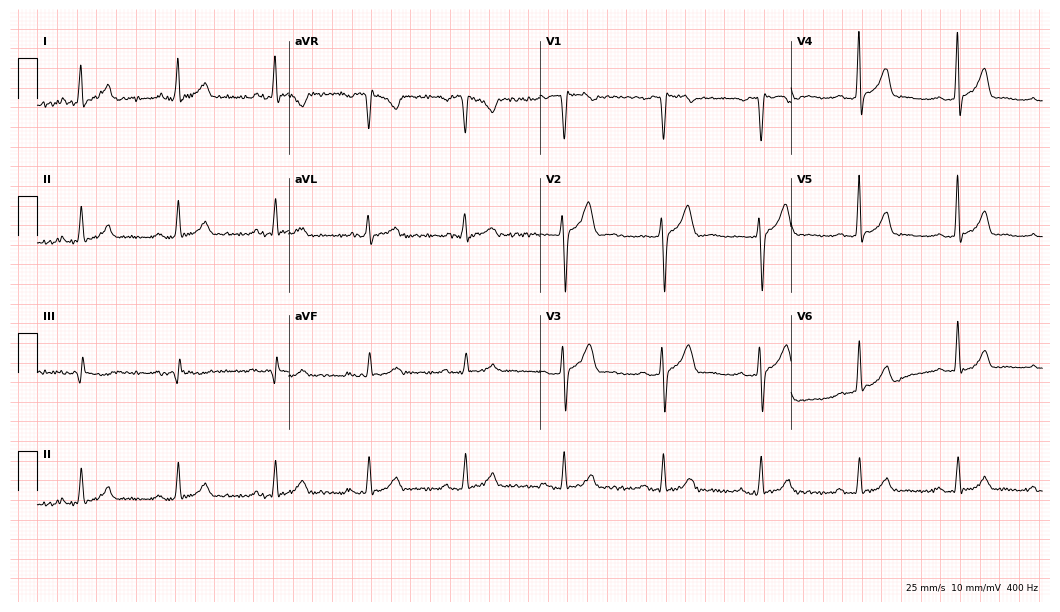
12-lead ECG from a male, 37 years old. No first-degree AV block, right bundle branch block, left bundle branch block, sinus bradycardia, atrial fibrillation or sinus tachycardia recorded for this tracing.